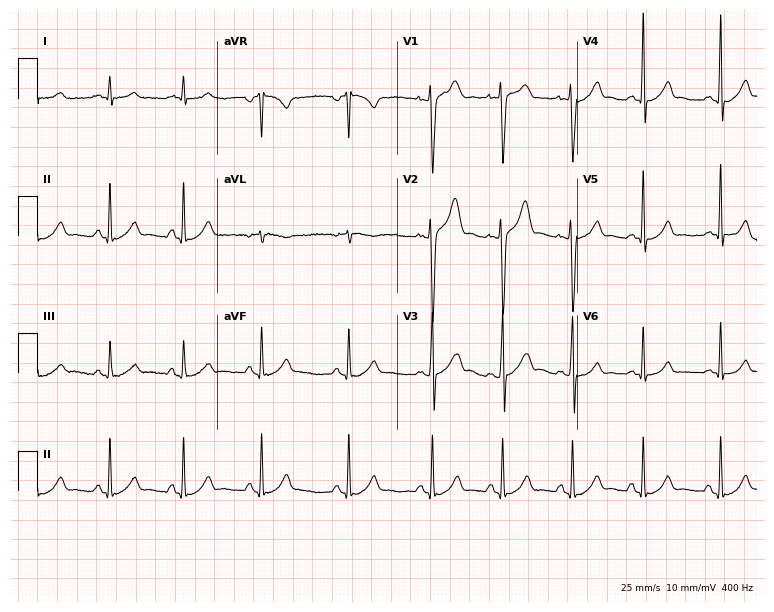
12-lead ECG from a male patient, 18 years old. No first-degree AV block, right bundle branch block (RBBB), left bundle branch block (LBBB), sinus bradycardia, atrial fibrillation (AF) or sinus tachycardia recorded for this tracing. Other findings, if any, are not listed.